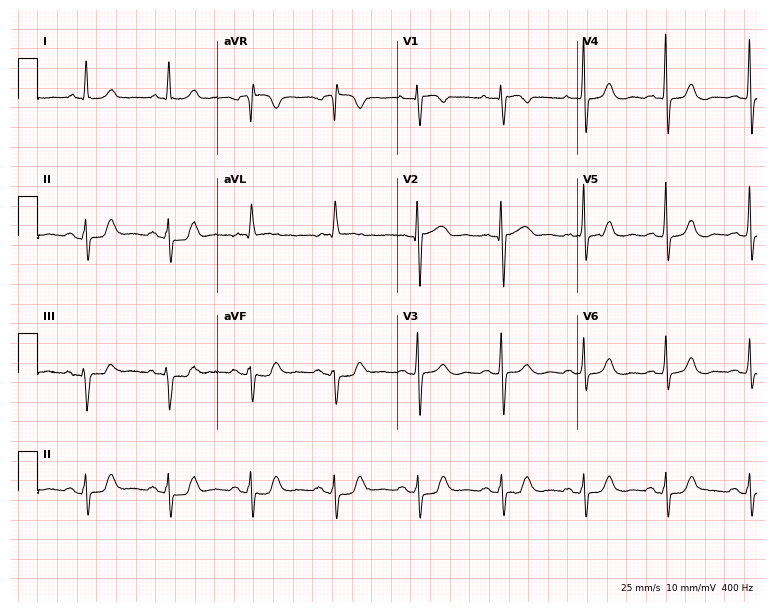
Standard 12-lead ECG recorded from a female patient, 76 years old. None of these six findings is recorded: first-degree AV block, right bundle branch block, left bundle branch block, sinus bradycardia, atrial fibrillation, sinus tachycardia.